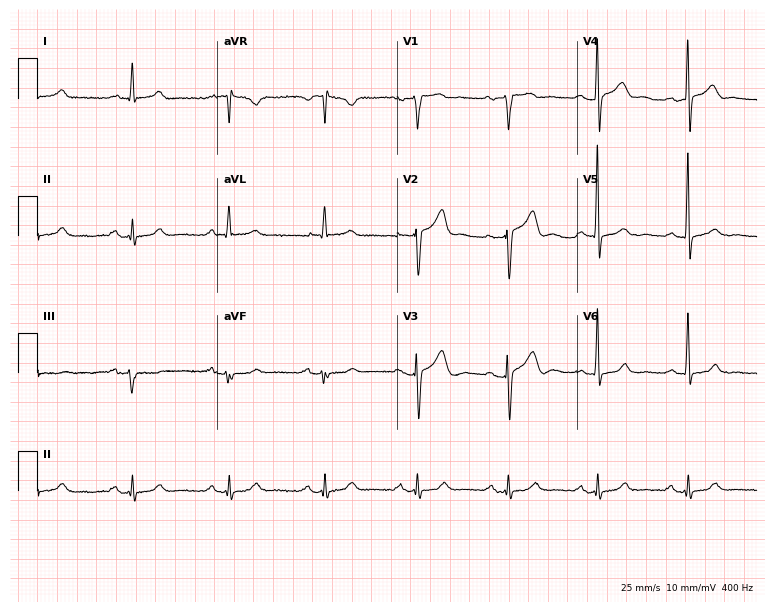
Standard 12-lead ECG recorded from a 55-year-old male patient (7.3-second recording at 400 Hz). Read as a normal ECG.